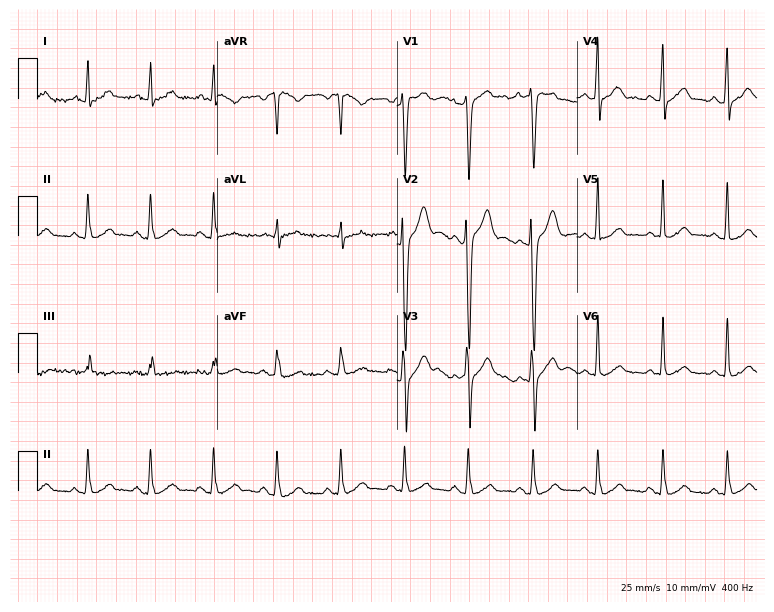
Electrocardiogram (7.3-second recording at 400 Hz), a 33-year-old male. Overall reading on record: normal ECG.